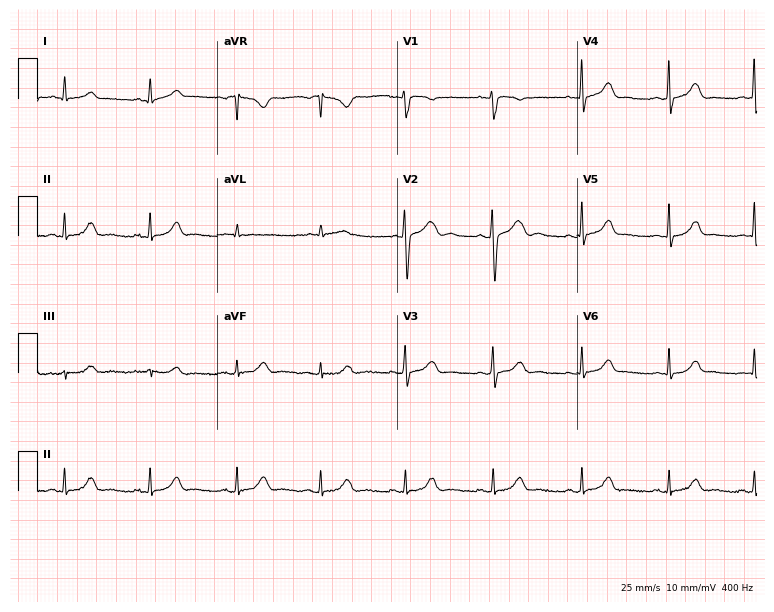
12-lead ECG (7.3-second recording at 400 Hz) from a 23-year-old female patient. Labelled as a normal ECG.